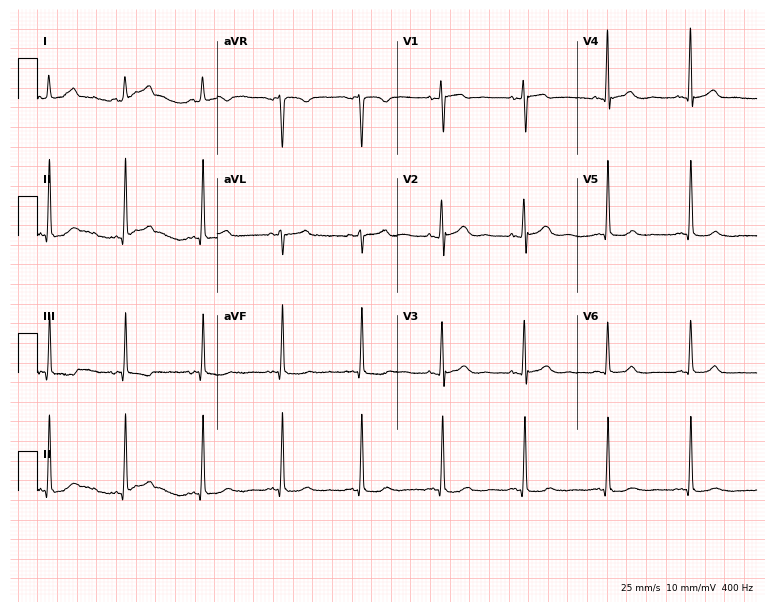
12-lead ECG from a 54-year-old female patient (7.3-second recording at 400 Hz). Recorded interpretation: within normal limits.